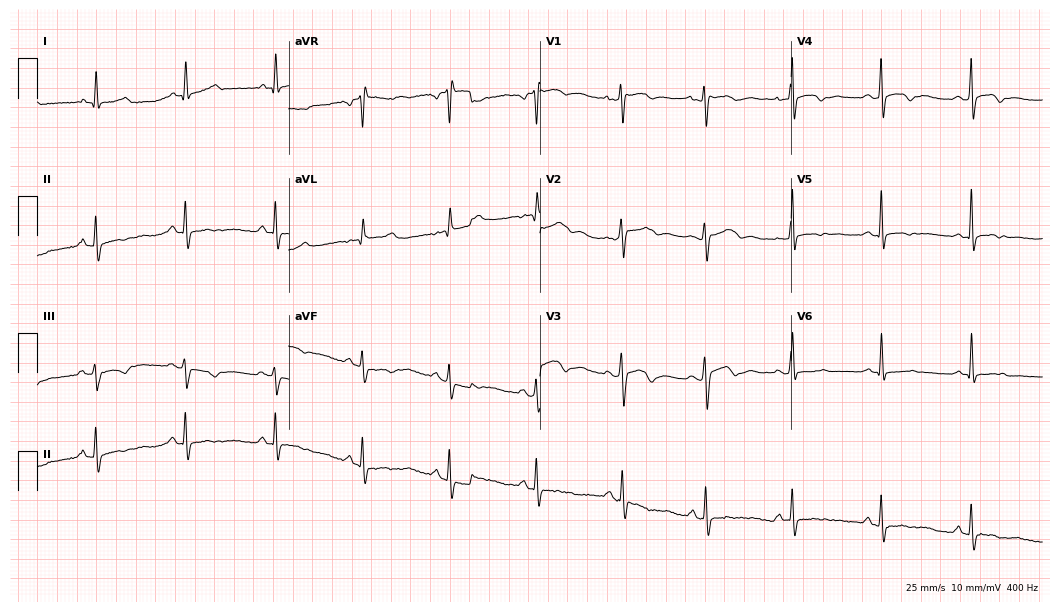
ECG (10.2-second recording at 400 Hz) — a 41-year-old female patient. Labelled as a normal ECG.